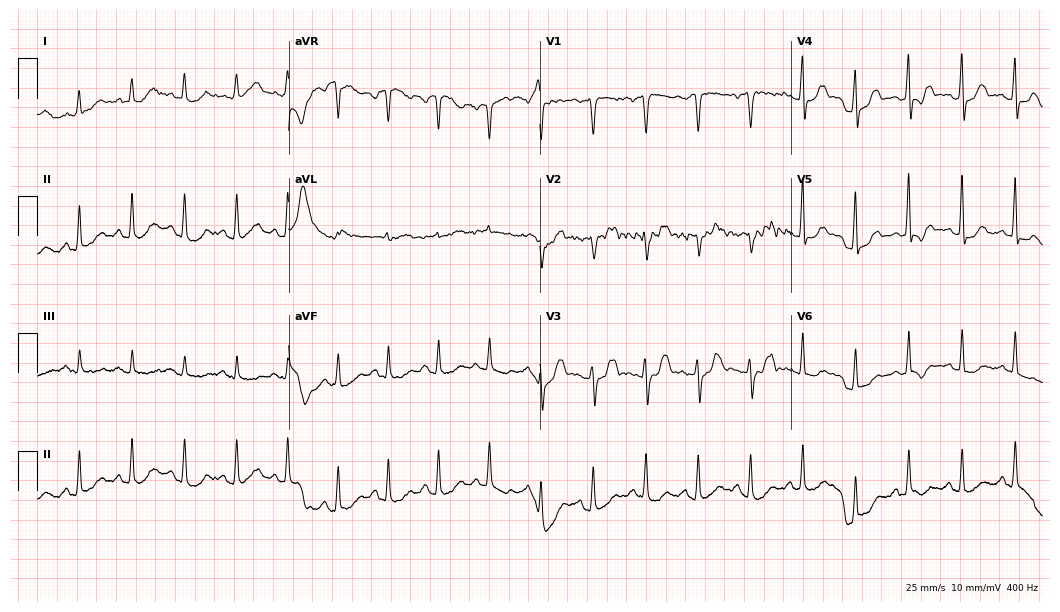
12-lead ECG from a 40-year-old female patient. Screened for six findings — first-degree AV block, right bundle branch block, left bundle branch block, sinus bradycardia, atrial fibrillation, sinus tachycardia — none is recorded. Only these six findings were labelled.